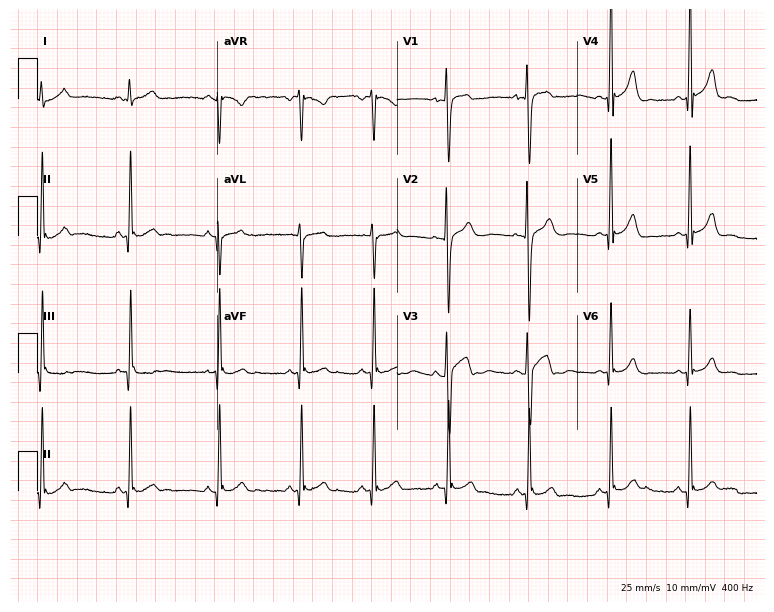
Standard 12-lead ECG recorded from a man, 18 years old (7.3-second recording at 400 Hz). None of these six findings is recorded: first-degree AV block, right bundle branch block (RBBB), left bundle branch block (LBBB), sinus bradycardia, atrial fibrillation (AF), sinus tachycardia.